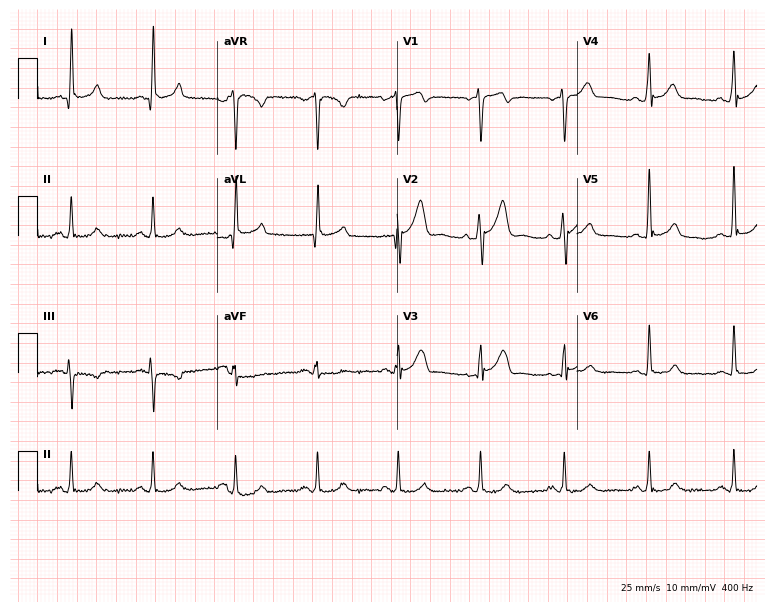
12-lead ECG from a 46-year-old male patient (7.3-second recording at 400 Hz). Recorded interpretation: within normal limits.